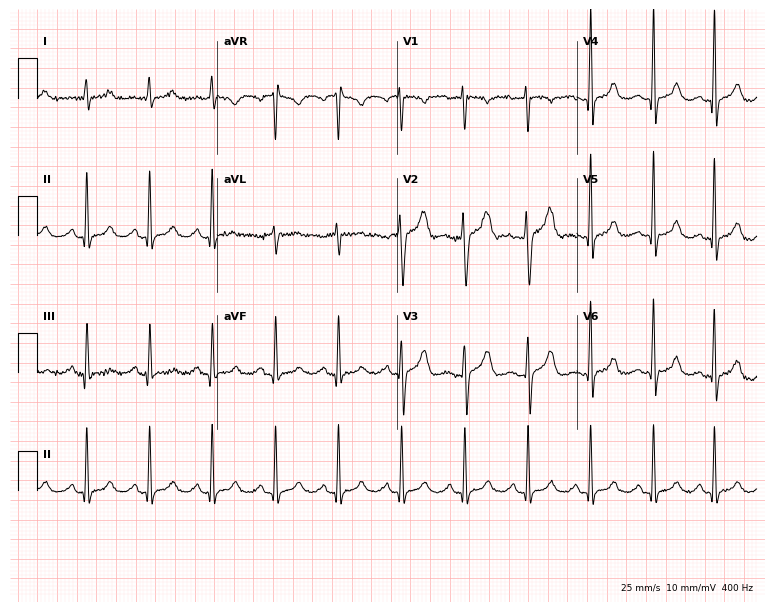
12-lead ECG from a 39-year-old woman (7.3-second recording at 400 Hz). No first-degree AV block, right bundle branch block (RBBB), left bundle branch block (LBBB), sinus bradycardia, atrial fibrillation (AF) or sinus tachycardia recorded for this tracing. Findings outside these six are not listed.